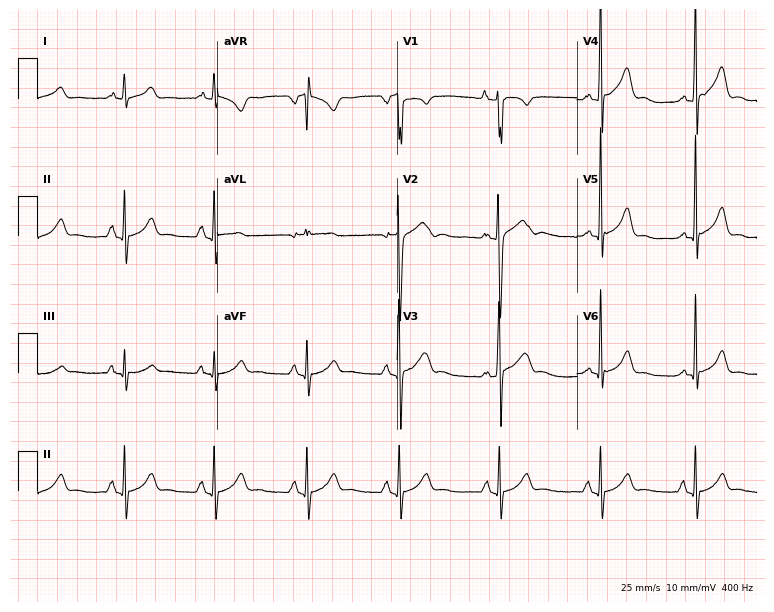
12-lead ECG (7.3-second recording at 400 Hz) from a 21-year-old male. Labelled as a normal ECG.